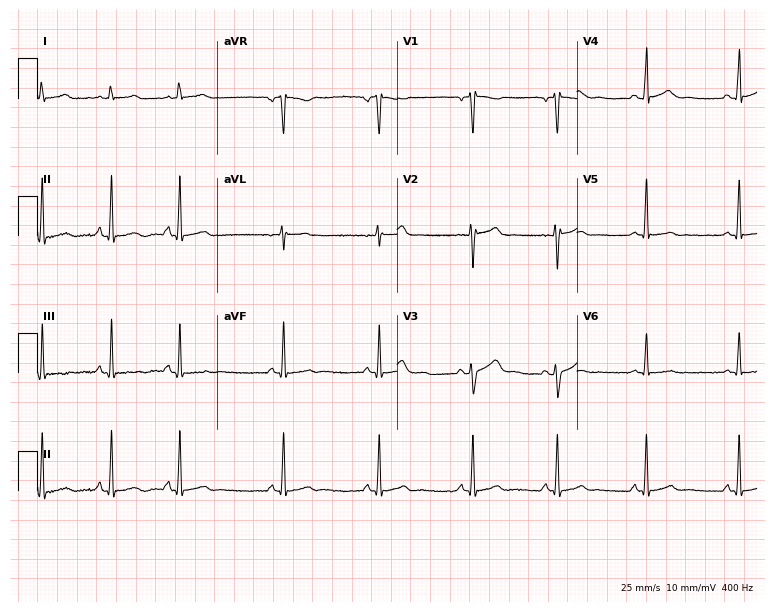
Standard 12-lead ECG recorded from a 17-year-old female patient. None of these six findings is recorded: first-degree AV block, right bundle branch block (RBBB), left bundle branch block (LBBB), sinus bradycardia, atrial fibrillation (AF), sinus tachycardia. Only these six findings were labelled.